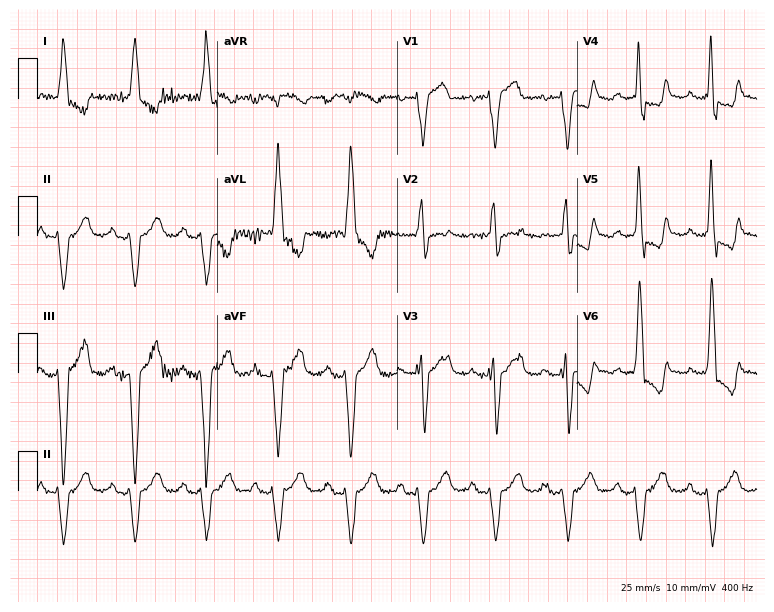
12-lead ECG from a woman, 67 years old (7.3-second recording at 400 Hz). Shows left bundle branch block (LBBB).